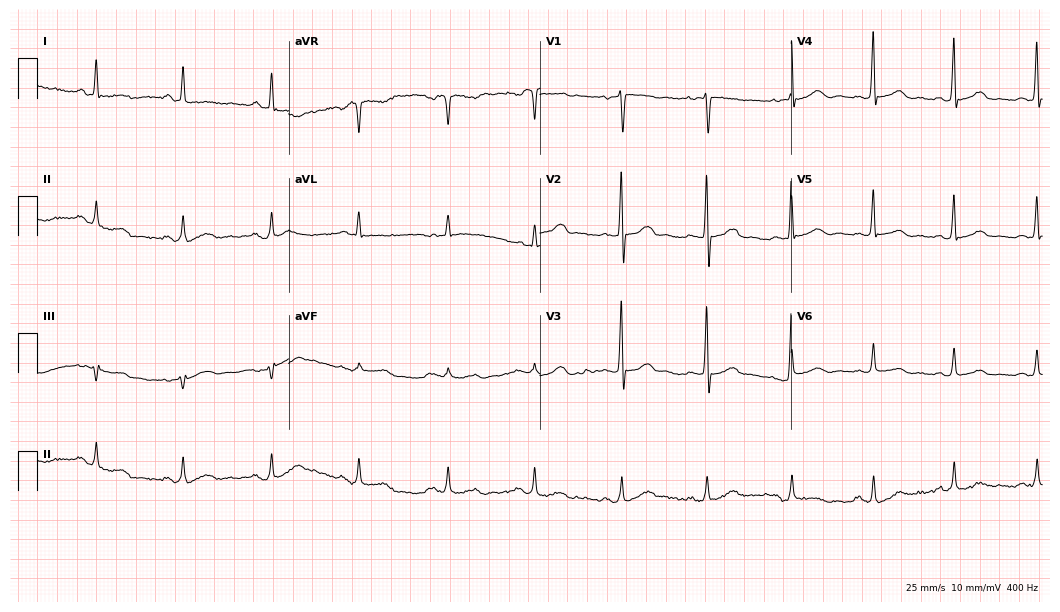
ECG (10.2-second recording at 400 Hz) — a 46-year-old woman. Screened for six findings — first-degree AV block, right bundle branch block (RBBB), left bundle branch block (LBBB), sinus bradycardia, atrial fibrillation (AF), sinus tachycardia — none is recorded.